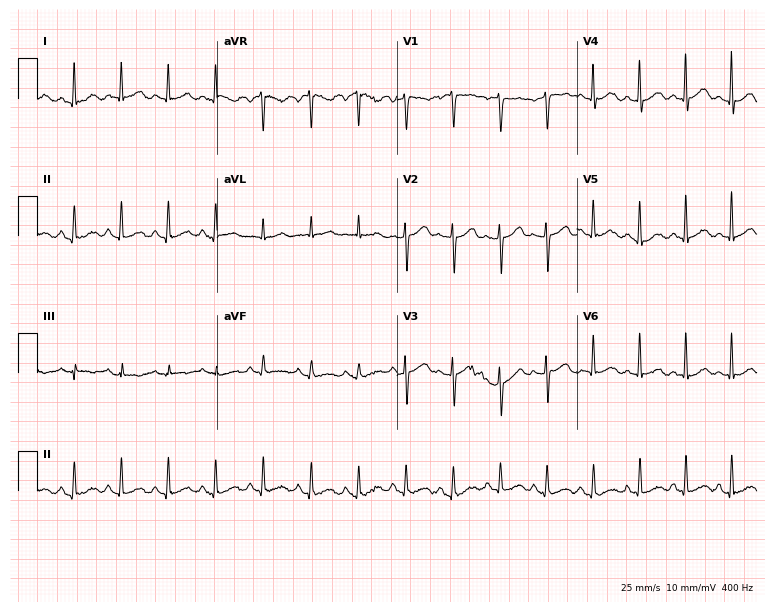
12-lead ECG (7.3-second recording at 400 Hz) from a 59-year-old female patient. Findings include sinus tachycardia (a sinus rate of 100 beats per minute or more).